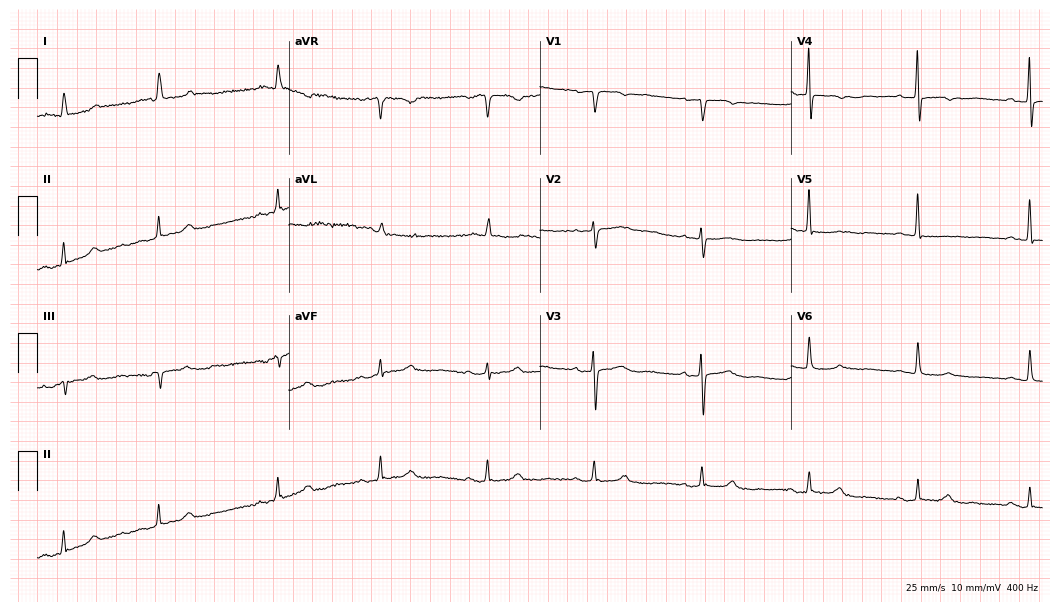
12-lead ECG from an 80-year-old female patient (10.2-second recording at 400 Hz). Recorded interpretation: within normal limits.